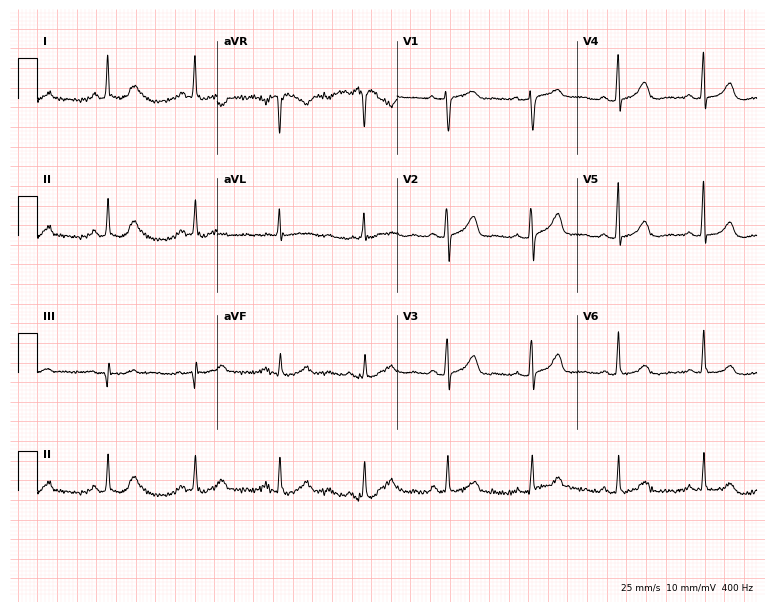
ECG — a female, 48 years old. Labelled as a normal ECG.